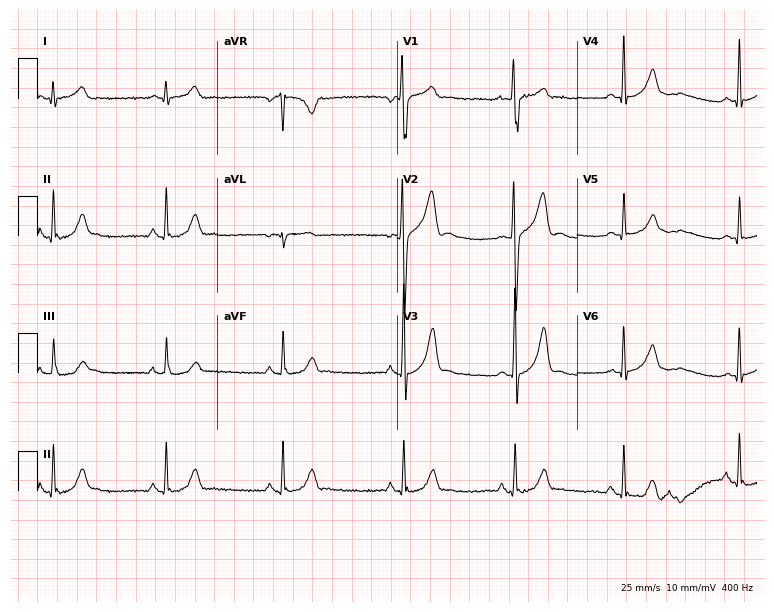
Electrocardiogram (7.3-second recording at 400 Hz), a 19-year-old male patient. Overall reading on record: normal ECG.